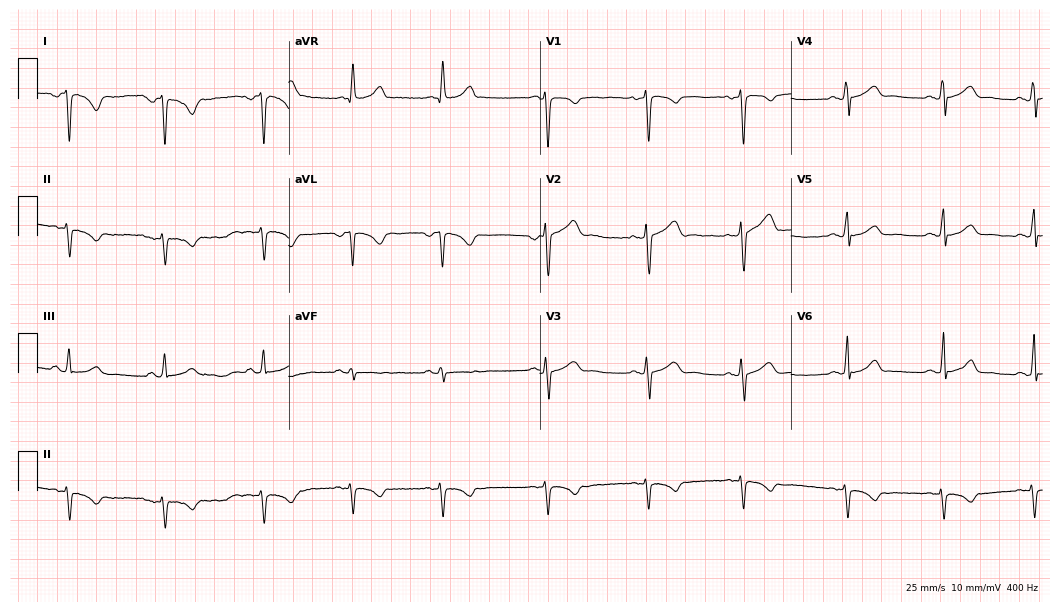
12-lead ECG (10.2-second recording at 400 Hz) from a female patient, 24 years old. Screened for six findings — first-degree AV block, right bundle branch block, left bundle branch block, sinus bradycardia, atrial fibrillation, sinus tachycardia — none is recorded. Findings outside these six are not listed.